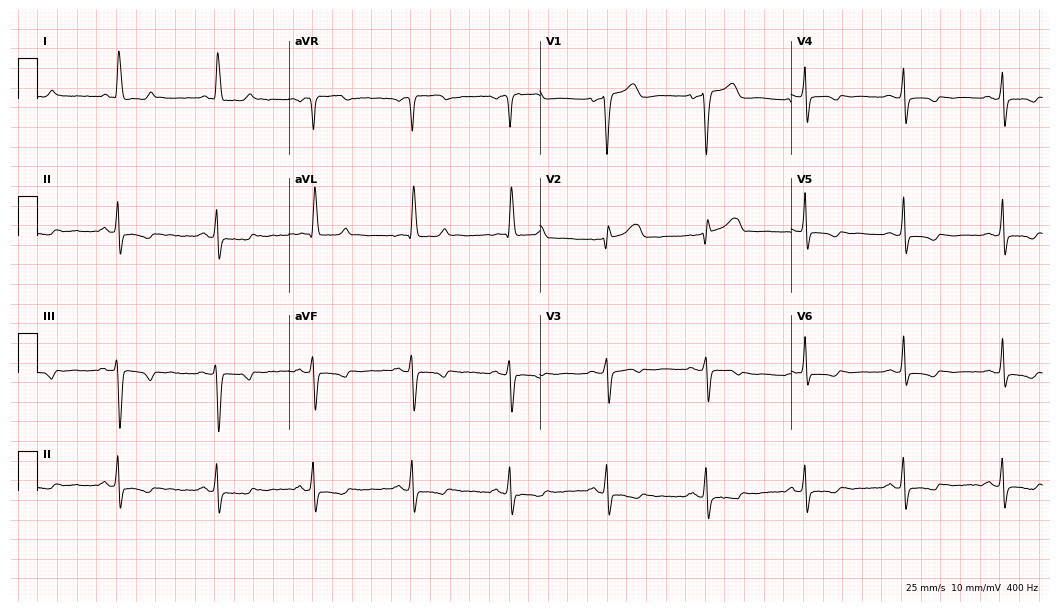
Standard 12-lead ECG recorded from a 62-year-old woman. None of these six findings is recorded: first-degree AV block, right bundle branch block (RBBB), left bundle branch block (LBBB), sinus bradycardia, atrial fibrillation (AF), sinus tachycardia.